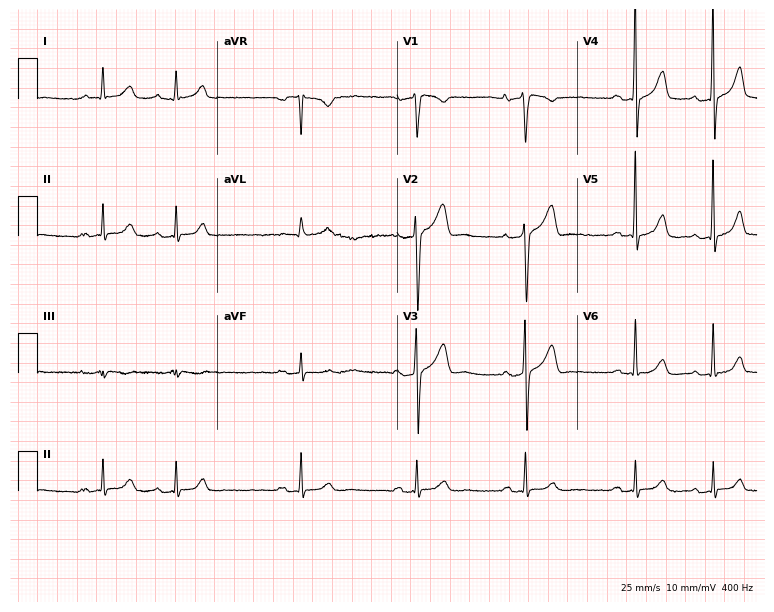
12-lead ECG from a 72-year-old male patient. No first-degree AV block, right bundle branch block, left bundle branch block, sinus bradycardia, atrial fibrillation or sinus tachycardia recorded for this tracing.